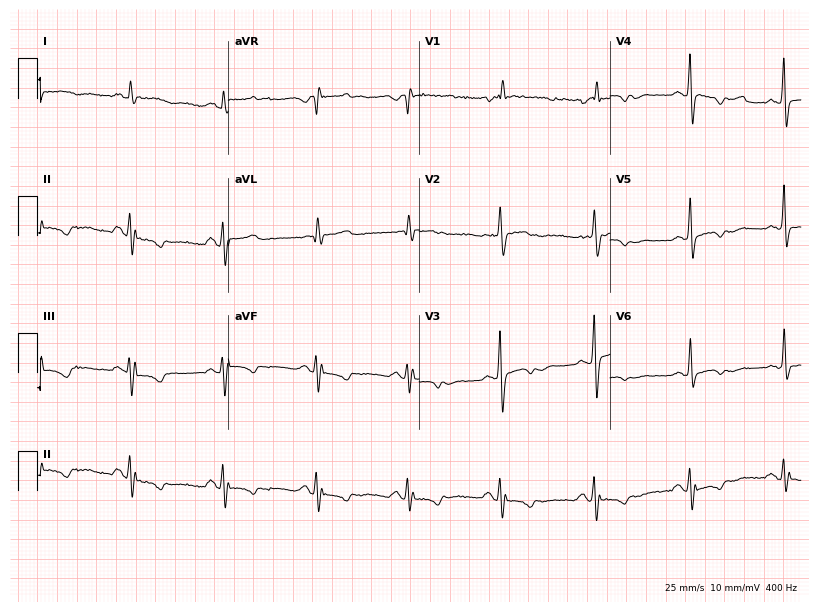
12-lead ECG from a 68-year-old man. No first-degree AV block, right bundle branch block, left bundle branch block, sinus bradycardia, atrial fibrillation or sinus tachycardia recorded for this tracing.